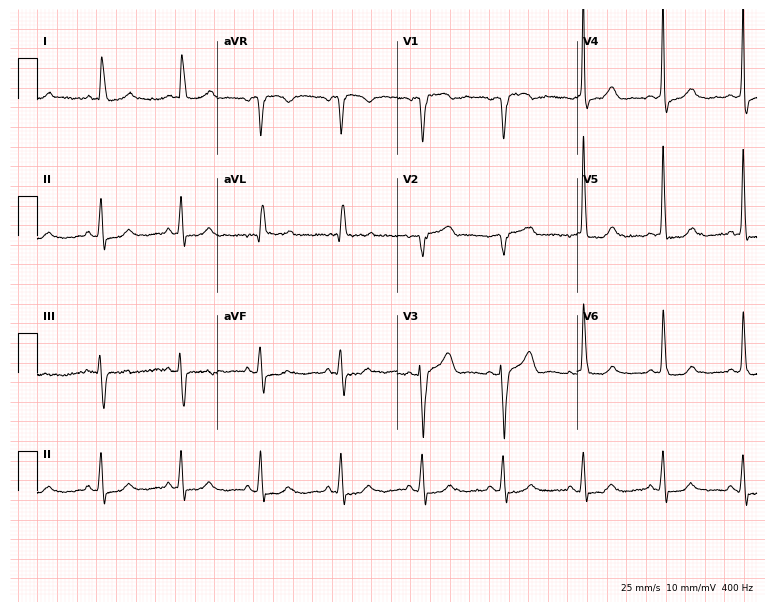
Standard 12-lead ECG recorded from a woman, 78 years old. None of these six findings is recorded: first-degree AV block, right bundle branch block (RBBB), left bundle branch block (LBBB), sinus bradycardia, atrial fibrillation (AF), sinus tachycardia.